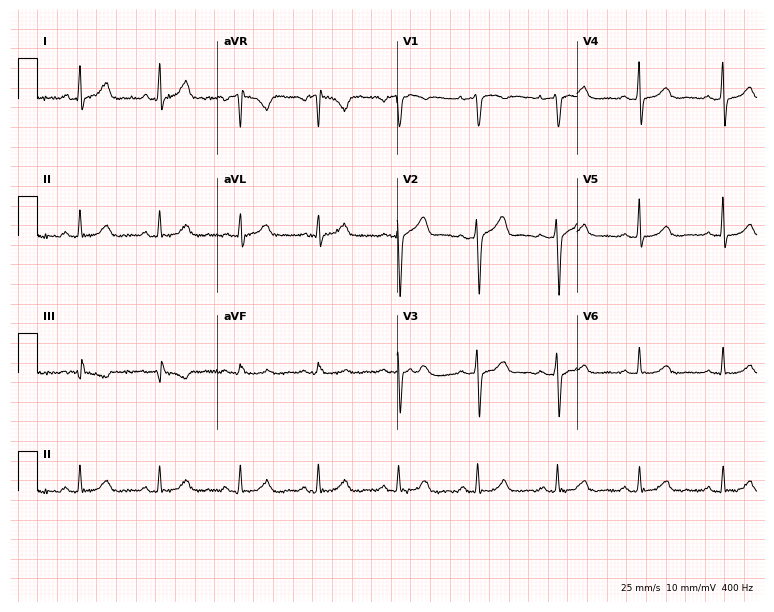
12-lead ECG from a 40-year-old female. Labelled as a normal ECG.